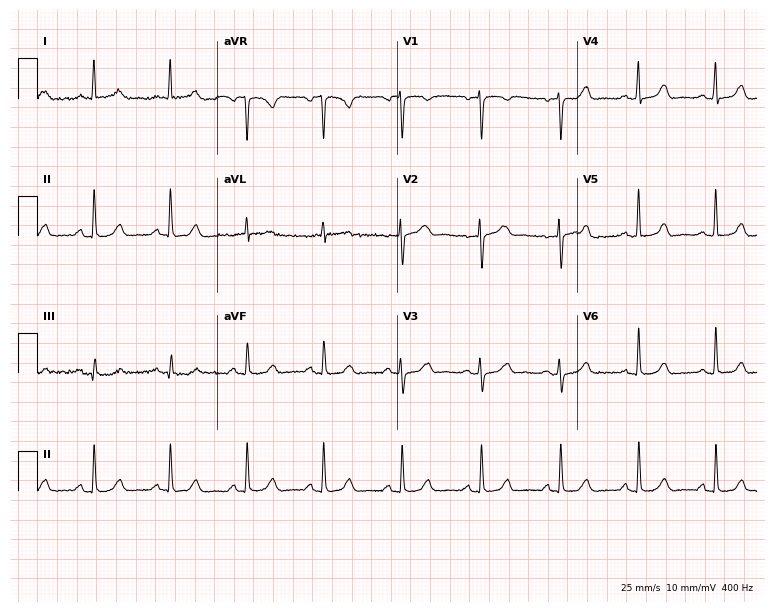
Electrocardiogram, a 48-year-old woman. Overall reading on record: normal ECG.